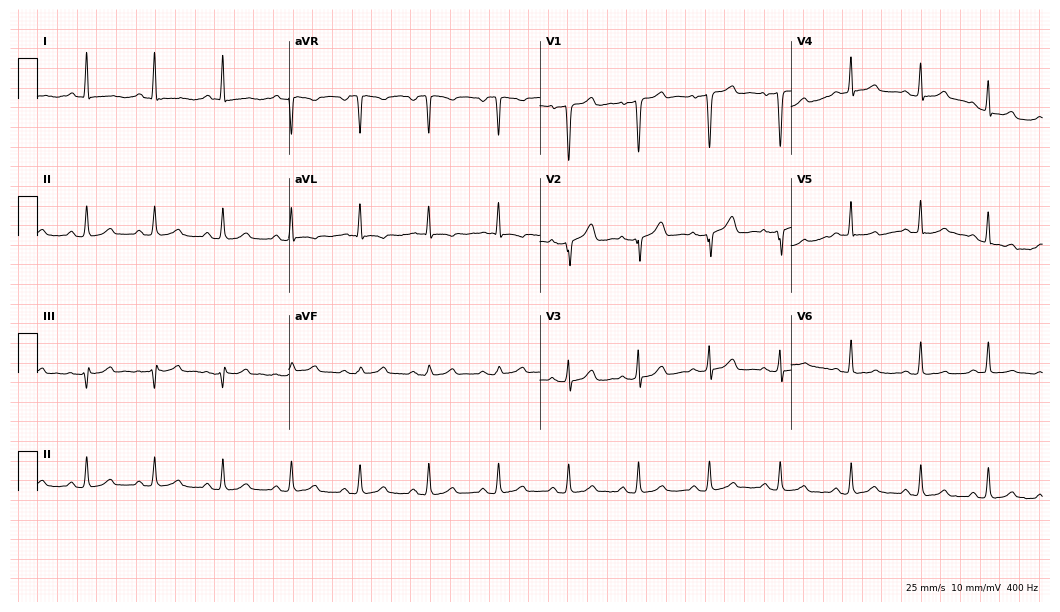
12-lead ECG from a female, 57 years old. Labelled as a normal ECG.